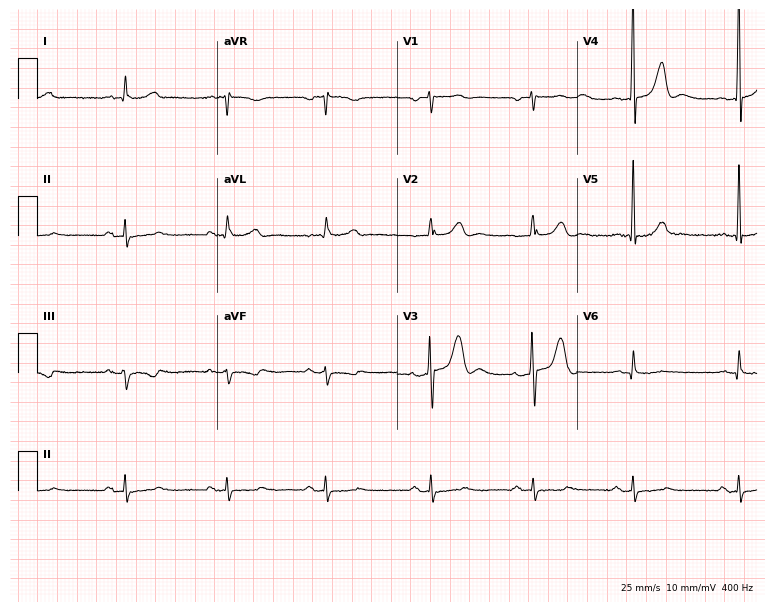
Electrocardiogram (7.3-second recording at 400 Hz), a 70-year-old male patient. Of the six screened findings (first-degree AV block, right bundle branch block (RBBB), left bundle branch block (LBBB), sinus bradycardia, atrial fibrillation (AF), sinus tachycardia), none is recorded.